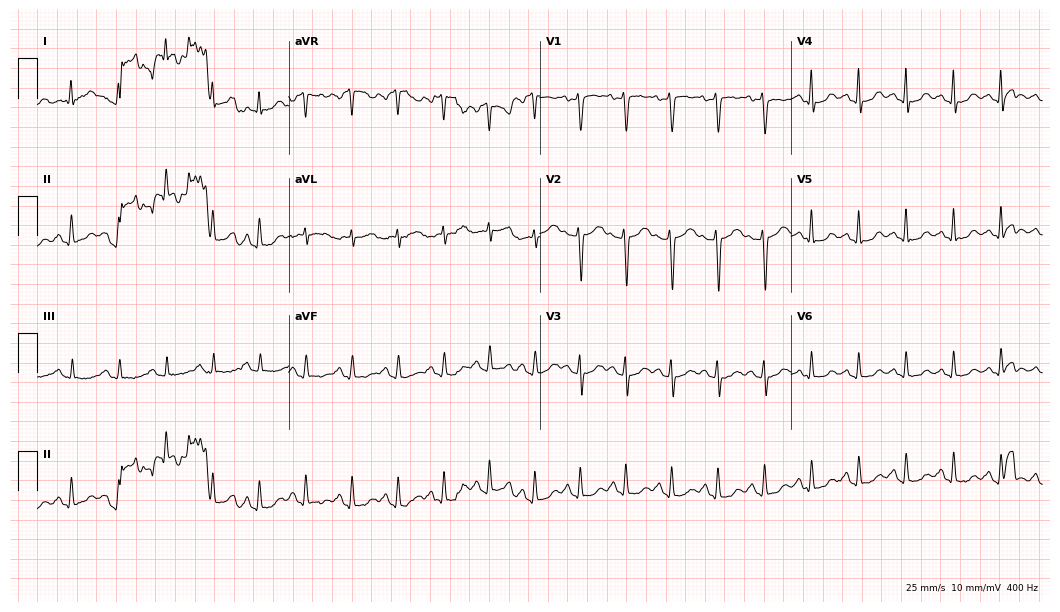
Resting 12-lead electrocardiogram. Patient: a 39-year-old female. None of these six findings is recorded: first-degree AV block, right bundle branch block, left bundle branch block, sinus bradycardia, atrial fibrillation, sinus tachycardia.